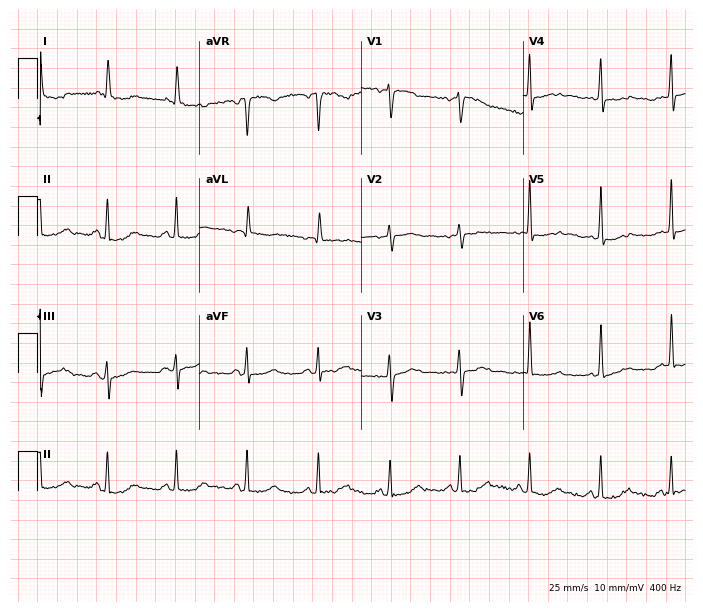
Electrocardiogram (6.6-second recording at 400 Hz), a 77-year-old female. Overall reading on record: normal ECG.